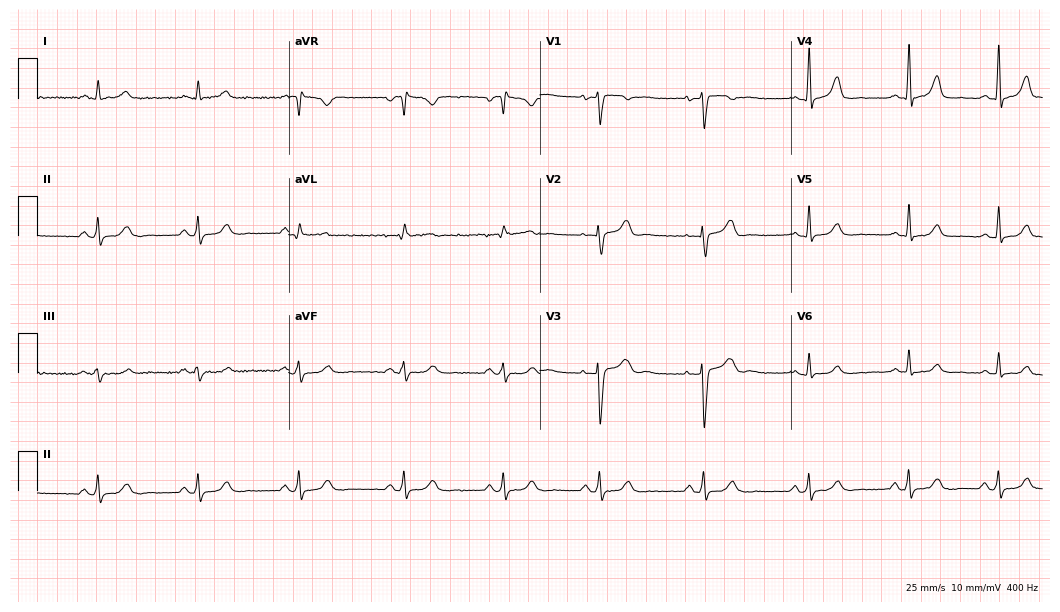
ECG (10.2-second recording at 400 Hz) — a 28-year-old female. Labelled as a normal ECG.